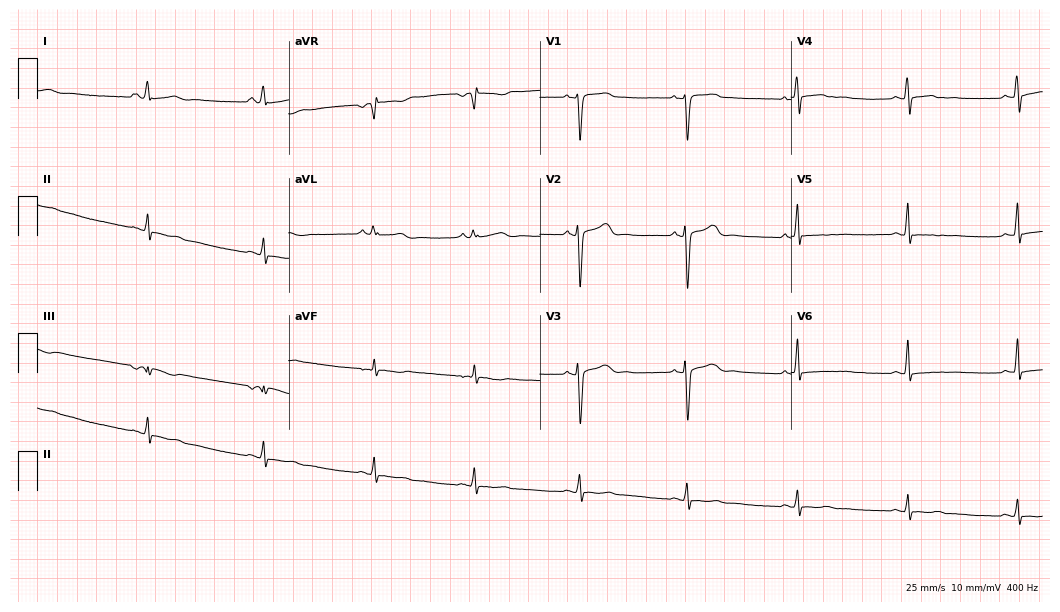
12-lead ECG from a 27-year-old female. No first-degree AV block, right bundle branch block (RBBB), left bundle branch block (LBBB), sinus bradycardia, atrial fibrillation (AF) or sinus tachycardia recorded for this tracing. Only these six findings were labelled.